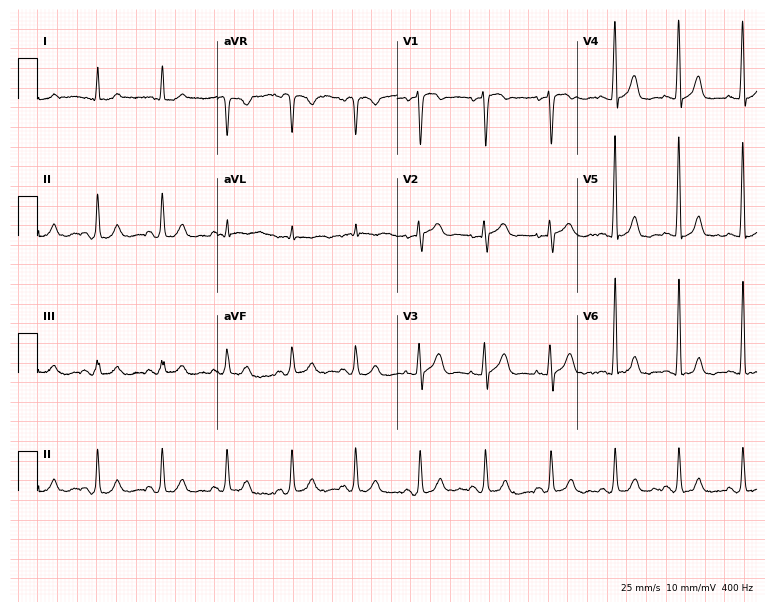
Resting 12-lead electrocardiogram (7.3-second recording at 400 Hz). Patient: a man, 82 years old. Read as a normal ECG.